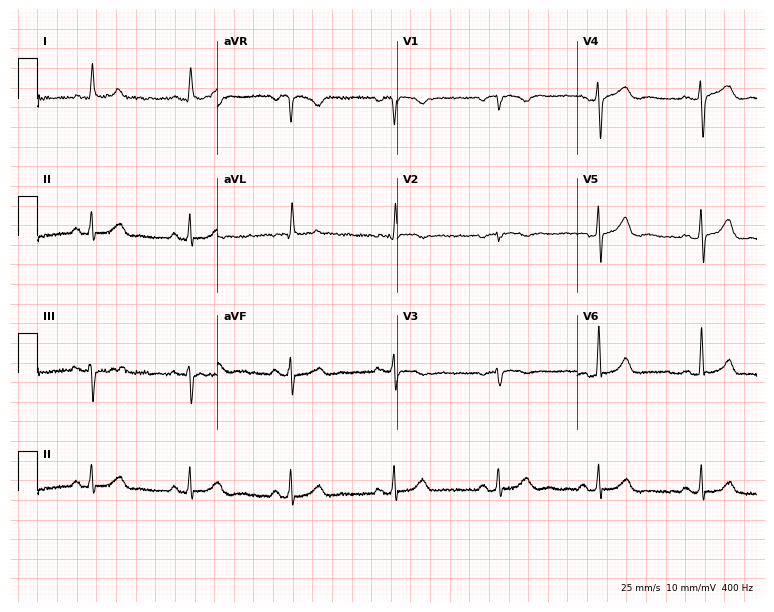
Standard 12-lead ECG recorded from a female patient, 75 years old. None of these six findings is recorded: first-degree AV block, right bundle branch block, left bundle branch block, sinus bradycardia, atrial fibrillation, sinus tachycardia.